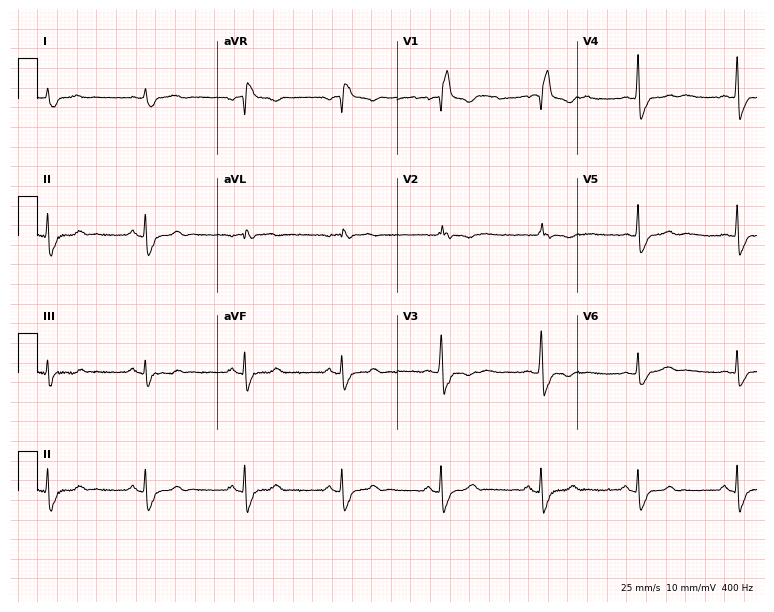
Electrocardiogram, a man, 81 years old. Interpretation includes right bundle branch block (RBBB).